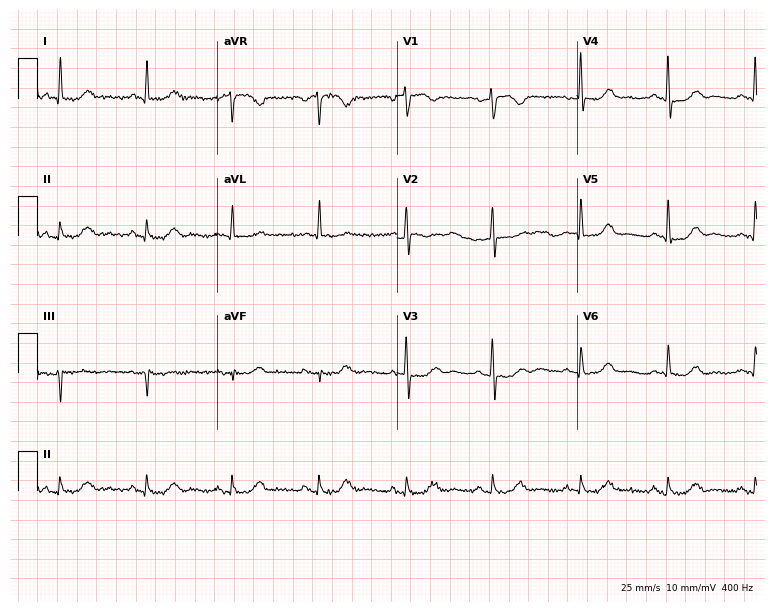
Standard 12-lead ECG recorded from a female patient, 75 years old (7.3-second recording at 400 Hz). None of these six findings is recorded: first-degree AV block, right bundle branch block, left bundle branch block, sinus bradycardia, atrial fibrillation, sinus tachycardia. Findings outside these six are not listed.